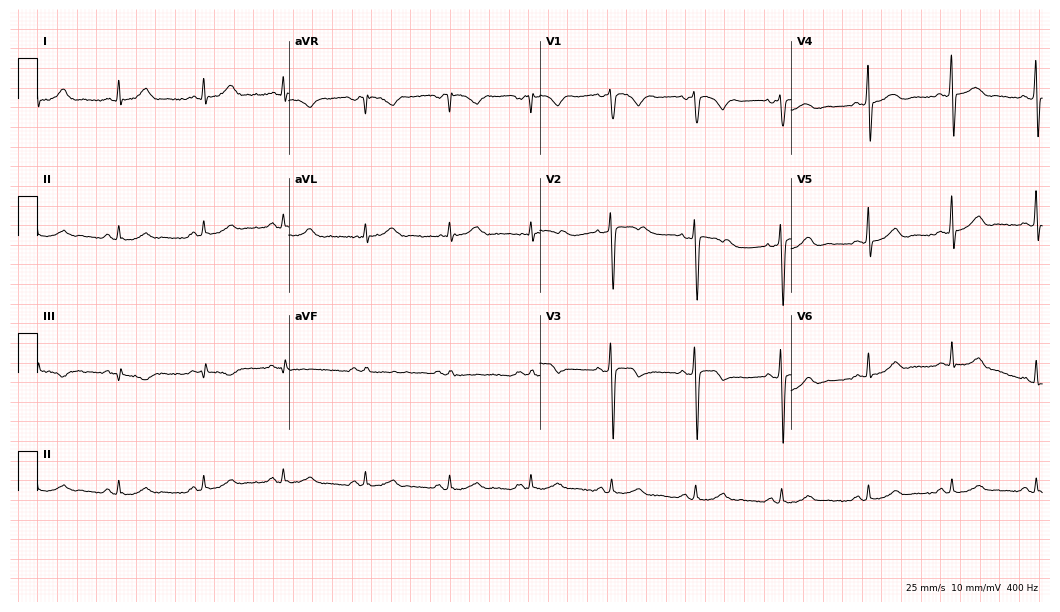
Standard 12-lead ECG recorded from a male patient, 56 years old. Read as a normal ECG.